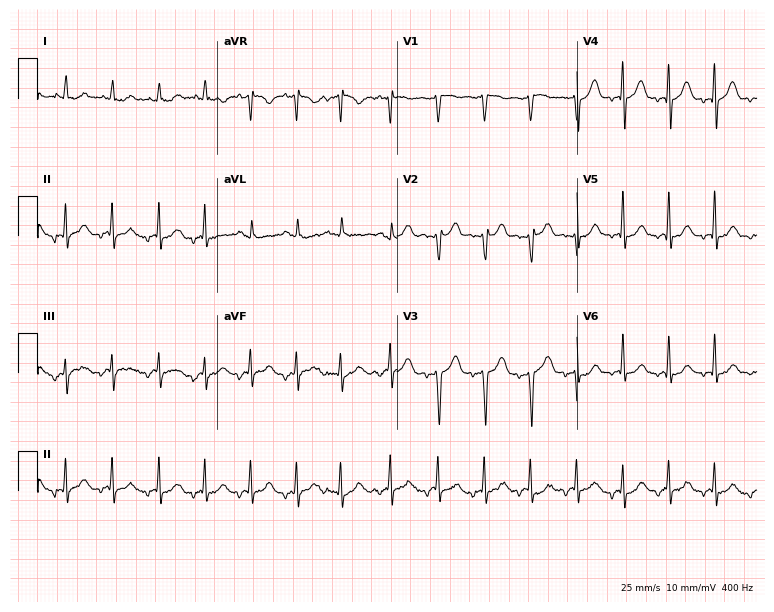
Standard 12-lead ECG recorded from a woman, 68 years old (7.3-second recording at 400 Hz). The tracing shows sinus tachycardia (a sinus rate of 100 beats per minute or more).